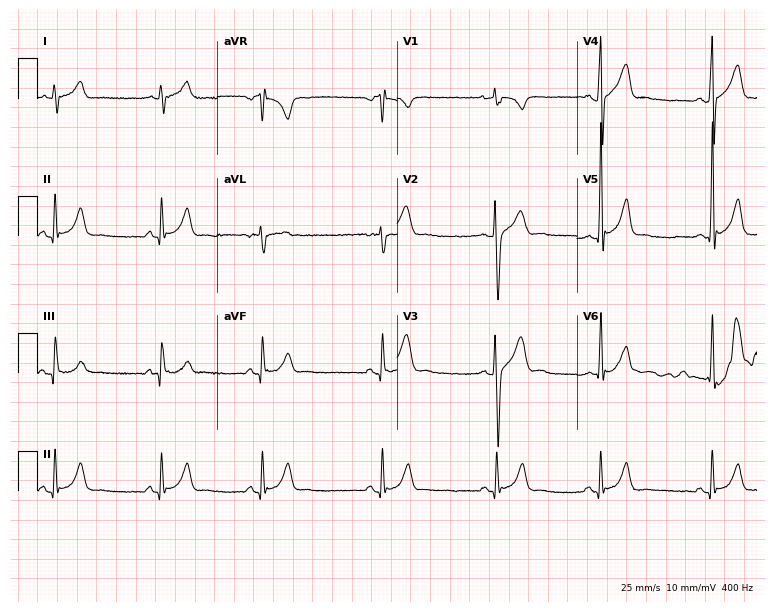
12-lead ECG from an 18-year-old male patient. No first-degree AV block, right bundle branch block, left bundle branch block, sinus bradycardia, atrial fibrillation or sinus tachycardia recorded for this tracing. Findings outside these six are not listed.